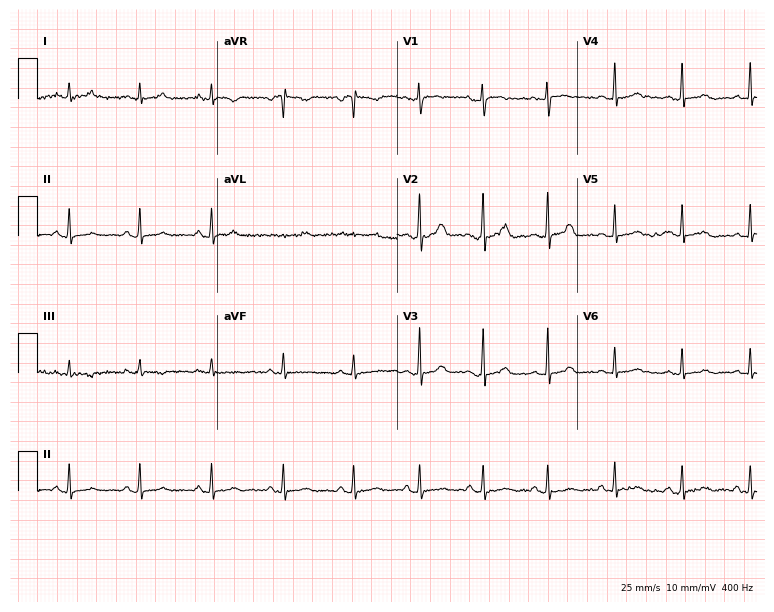
Electrocardiogram, a 25-year-old female patient. Of the six screened findings (first-degree AV block, right bundle branch block, left bundle branch block, sinus bradycardia, atrial fibrillation, sinus tachycardia), none is recorded.